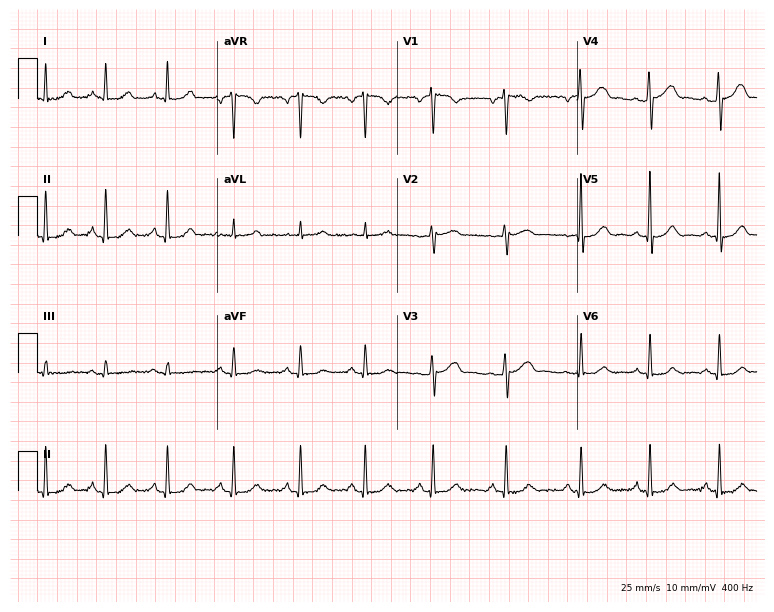
12-lead ECG from a 38-year-old female patient. Labelled as a normal ECG.